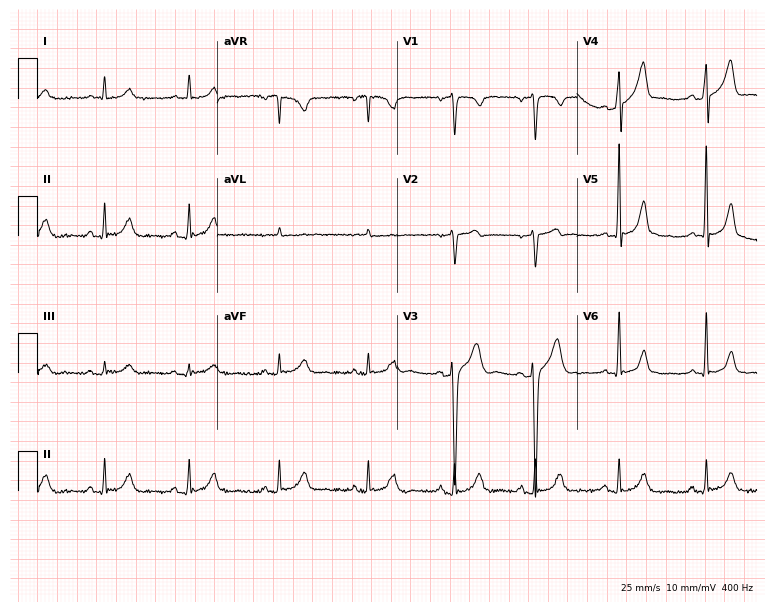
Standard 12-lead ECG recorded from a man, 45 years old. Read as a normal ECG.